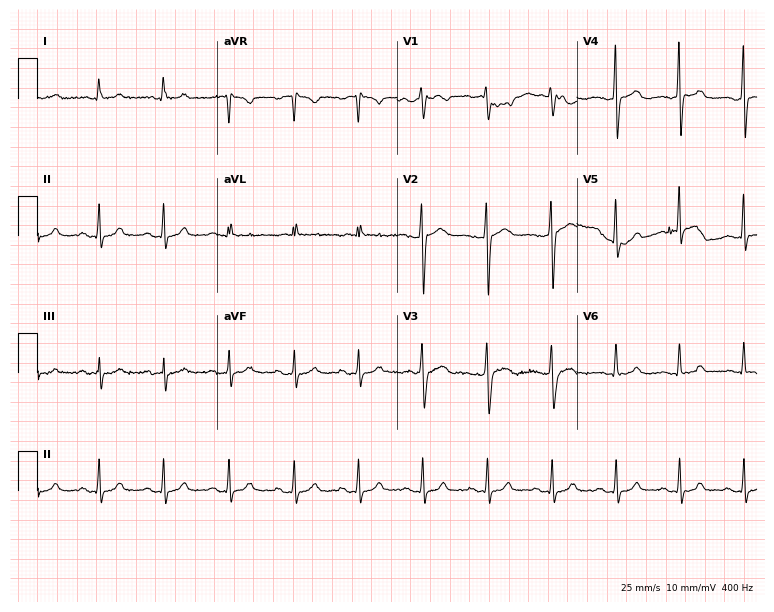
Standard 12-lead ECG recorded from a male, 45 years old (7.3-second recording at 400 Hz). None of these six findings is recorded: first-degree AV block, right bundle branch block, left bundle branch block, sinus bradycardia, atrial fibrillation, sinus tachycardia. Other findings, if any, are not listed.